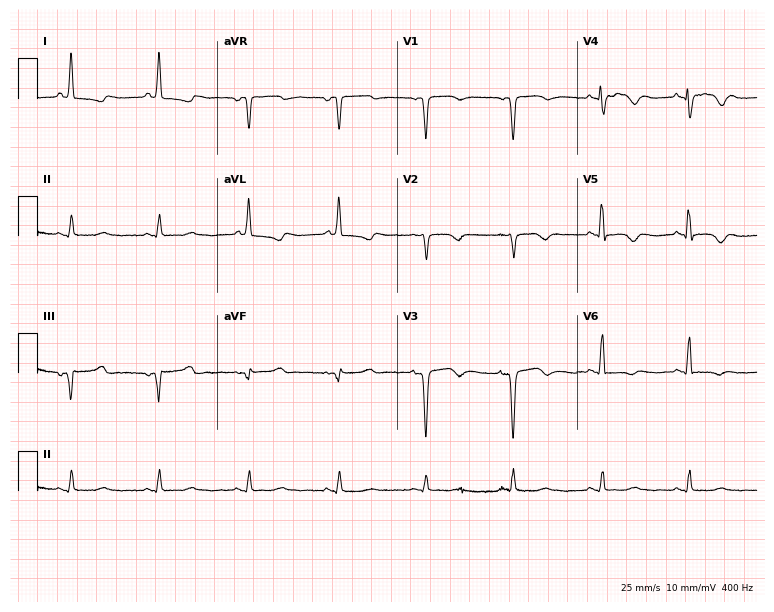
12-lead ECG from a woman, 48 years old (7.3-second recording at 400 Hz). No first-degree AV block, right bundle branch block, left bundle branch block, sinus bradycardia, atrial fibrillation or sinus tachycardia recorded for this tracing. Other findings, if any, are not listed.